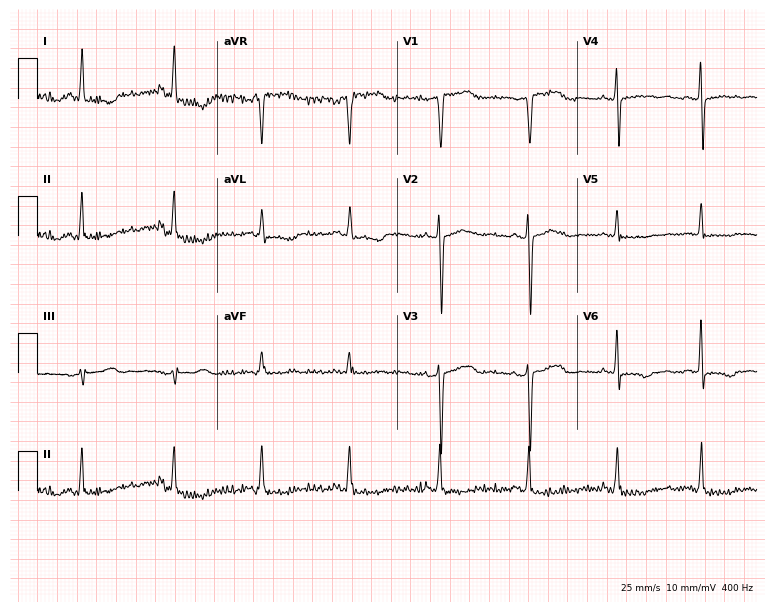
Electrocardiogram, a 45-year-old woman. Of the six screened findings (first-degree AV block, right bundle branch block (RBBB), left bundle branch block (LBBB), sinus bradycardia, atrial fibrillation (AF), sinus tachycardia), none is recorded.